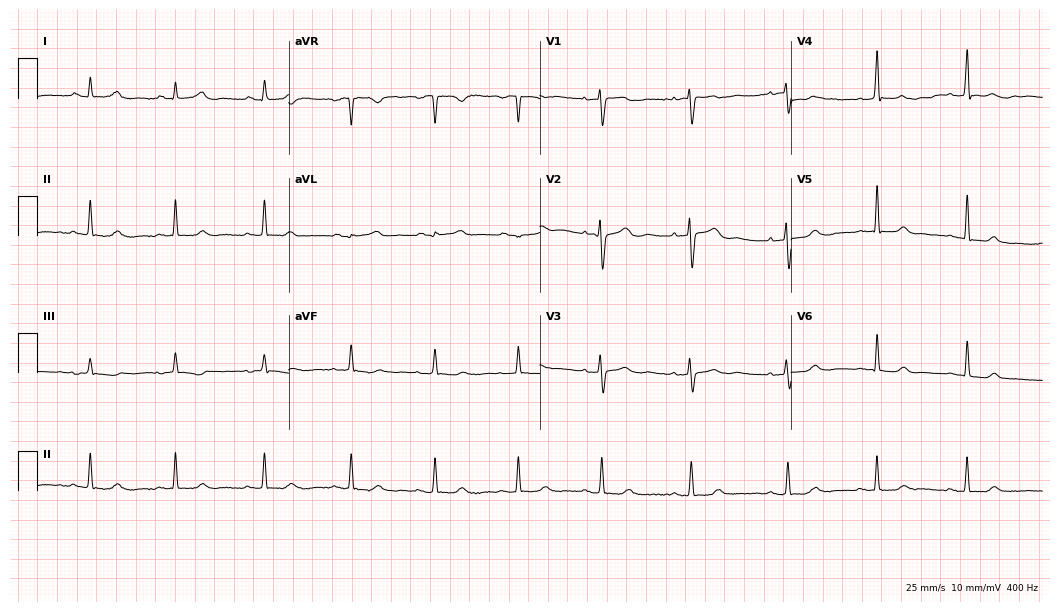
Resting 12-lead electrocardiogram. Patient: a 38-year-old female. Read as a normal ECG.